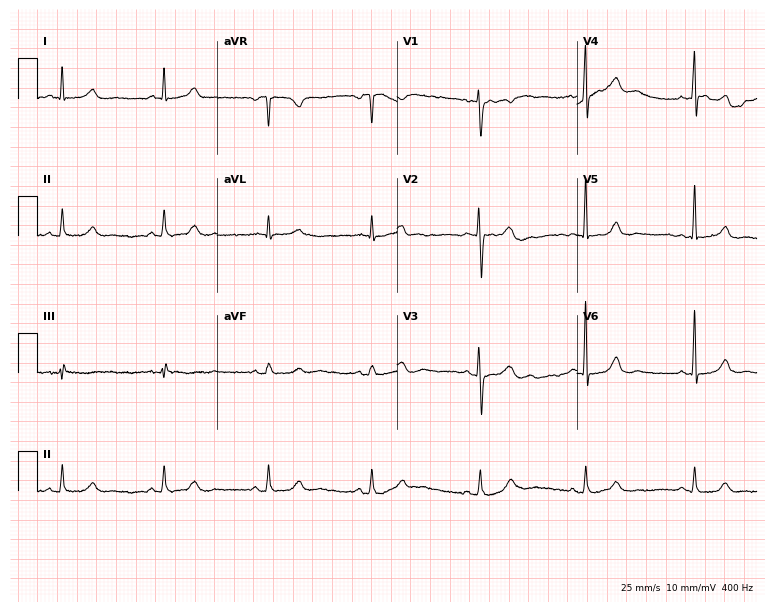
ECG — a female patient, 61 years old. Labelled as a normal ECG.